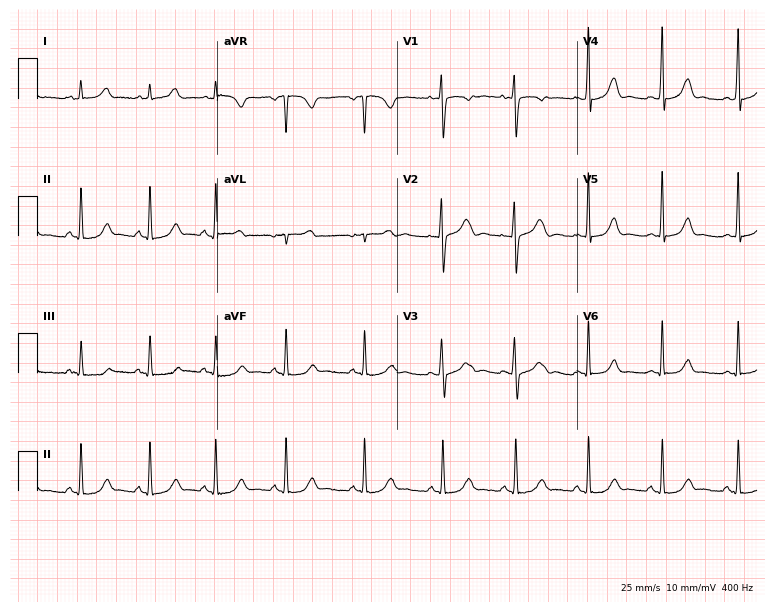
Electrocardiogram, a 24-year-old female. Overall reading on record: normal ECG.